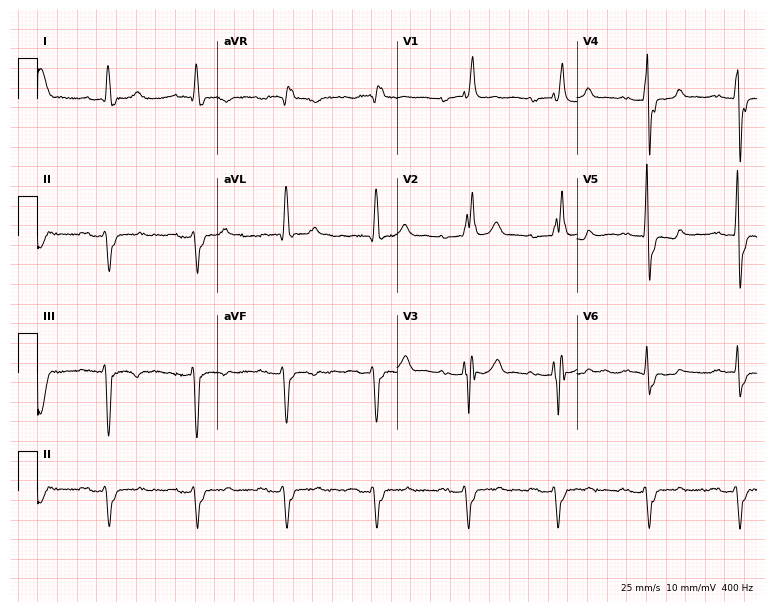
ECG — an 84-year-old male. Screened for six findings — first-degree AV block, right bundle branch block (RBBB), left bundle branch block (LBBB), sinus bradycardia, atrial fibrillation (AF), sinus tachycardia — none is recorded. Other findings, if any, are not listed.